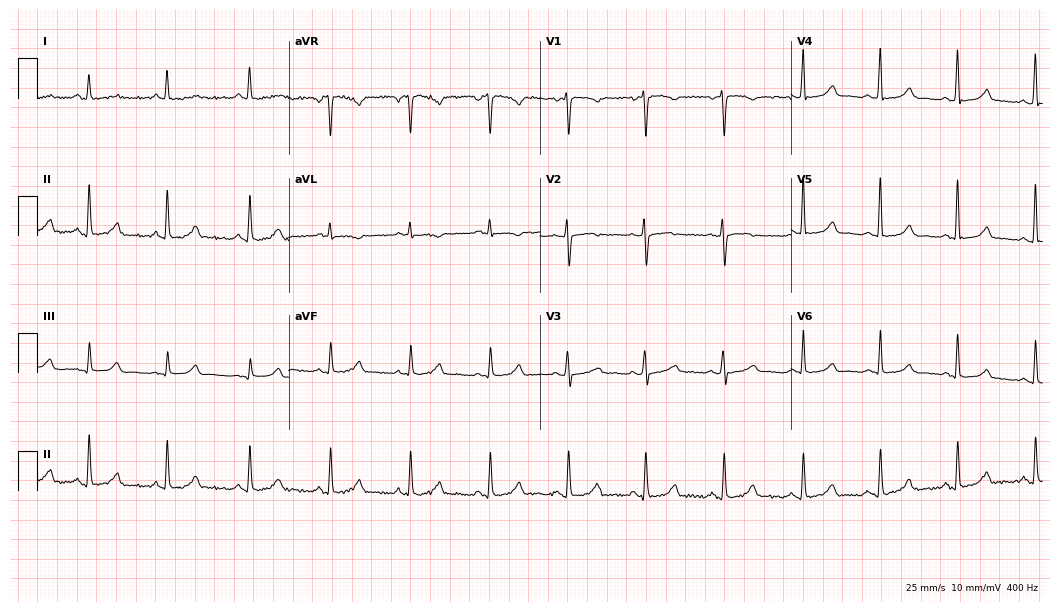
Resting 12-lead electrocardiogram. Patient: a woman, 64 years old. Read as a normal ECG.